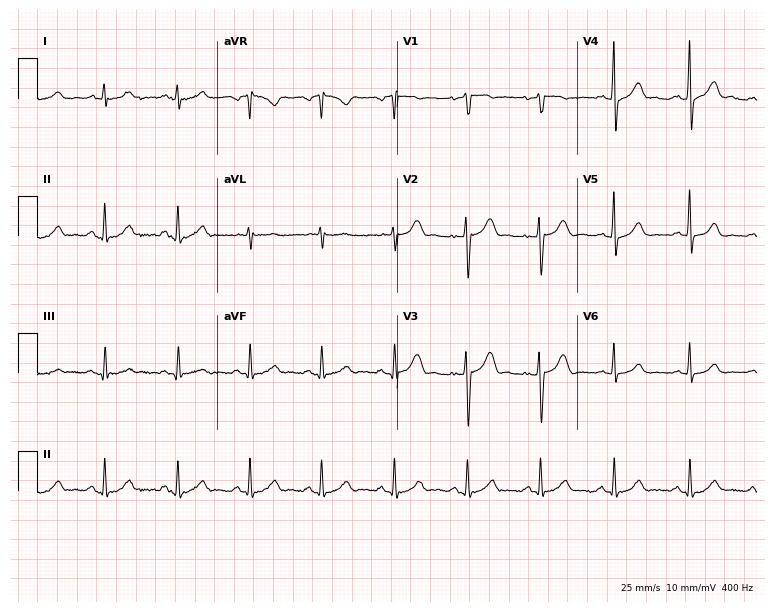
Resting 12-lead electrocardiogram. Patient: a 46-year-old man. Read as a normal ECG.